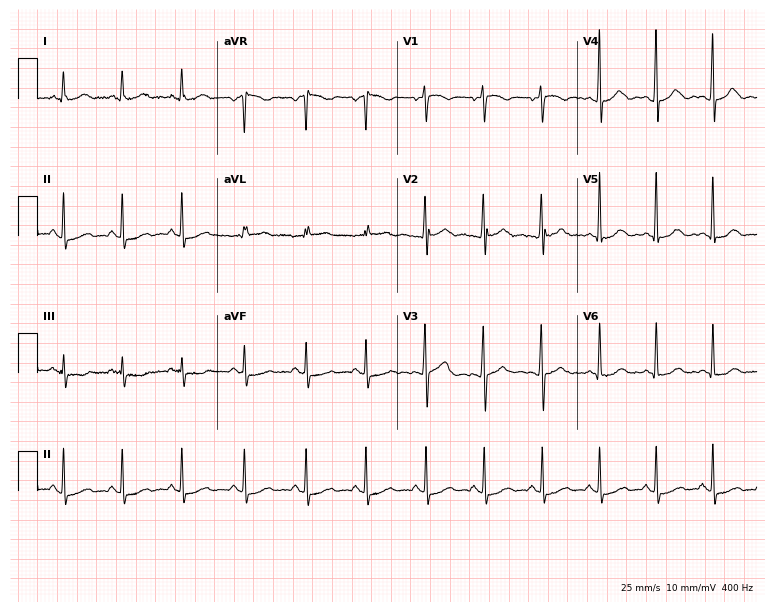
Electrocardiogram, a woman, 48 years old. Of the six screened findings (first-degree AV block, right bundle branch block, left bundle branch block, sinus bradycardia, atrial fibrillation, sinus tachycardia), none is recorded. Findings outside these six are not listed.